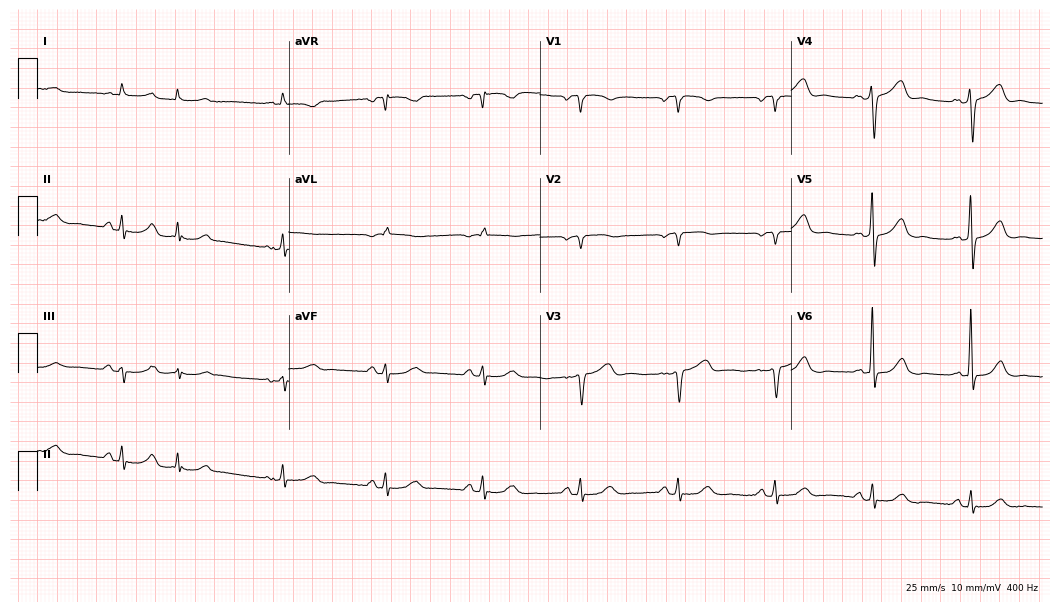
12-lead ECG from an 84-year-old male (10.2-second recording at 400 Hz). No first-degree AV block, right bundle branch block, left bundle branch block, sinus bradycardia, atrial fibrillation or sinus tachycardia recorded for this tracing. Only these six findings were labelled.